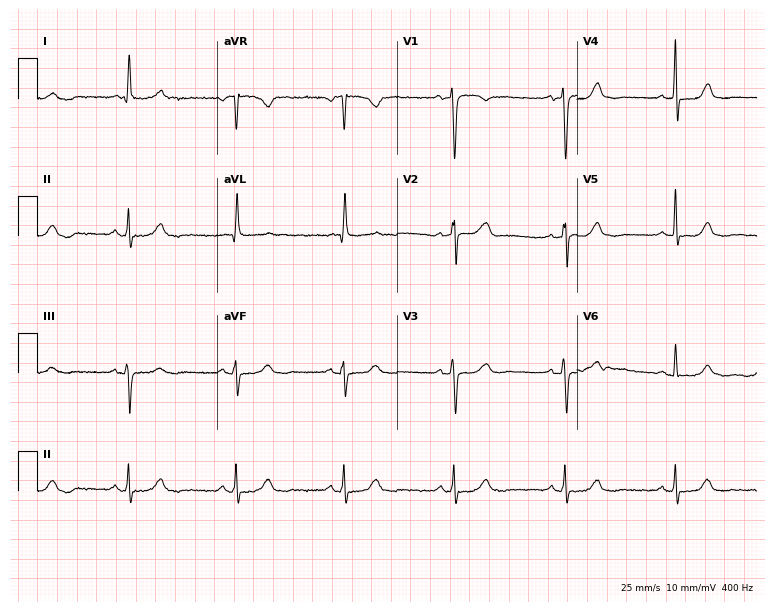
Electrocardiogram, a 67-year-old female. Overall reading on record: normal ECG.